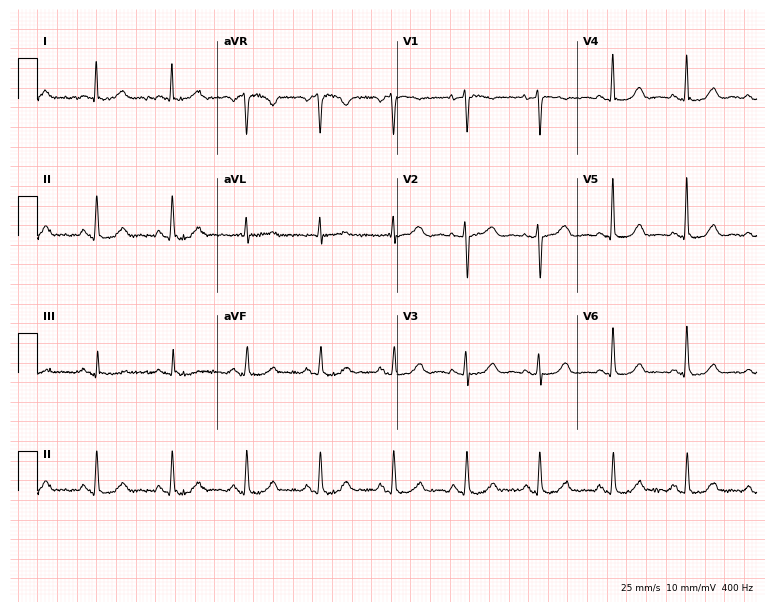
Electrocardiogram (7.3-second recording at 400 Hz), a female patient, 66 years old. Overall reading on record: normal ECG.